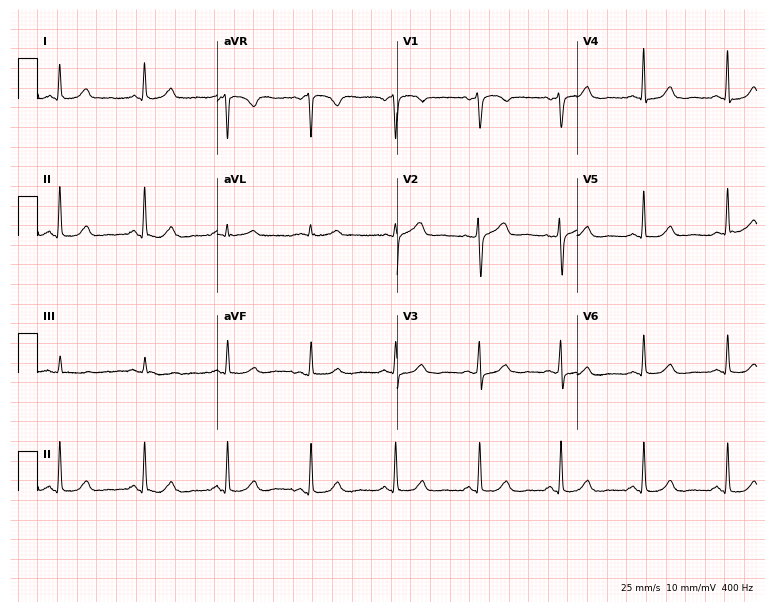
Electrocardiogram (7.3-second recording at 400 Hz), a 57-year-old woman. Overall reading on record: normal ECG.